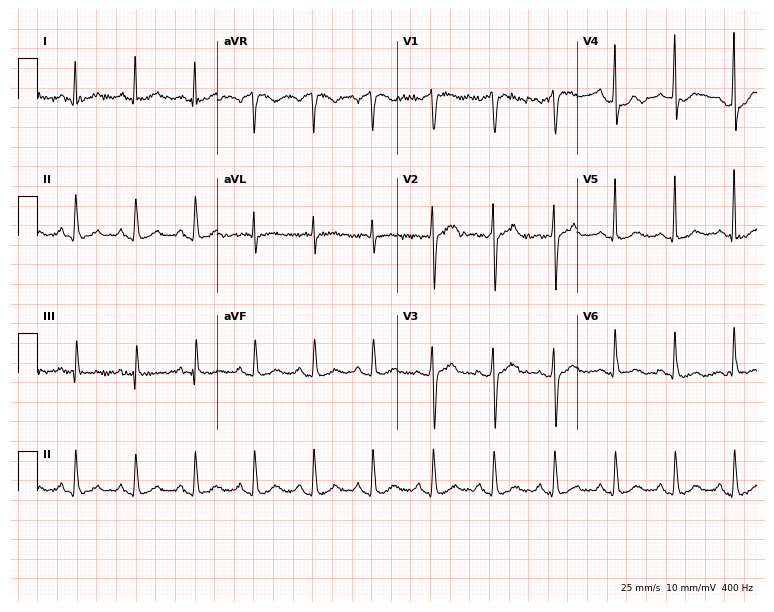
12-lead ECG from a male patient, 44 years old (7.3-second recording at 400 Hz). Recorded interpretation: within normal limits.